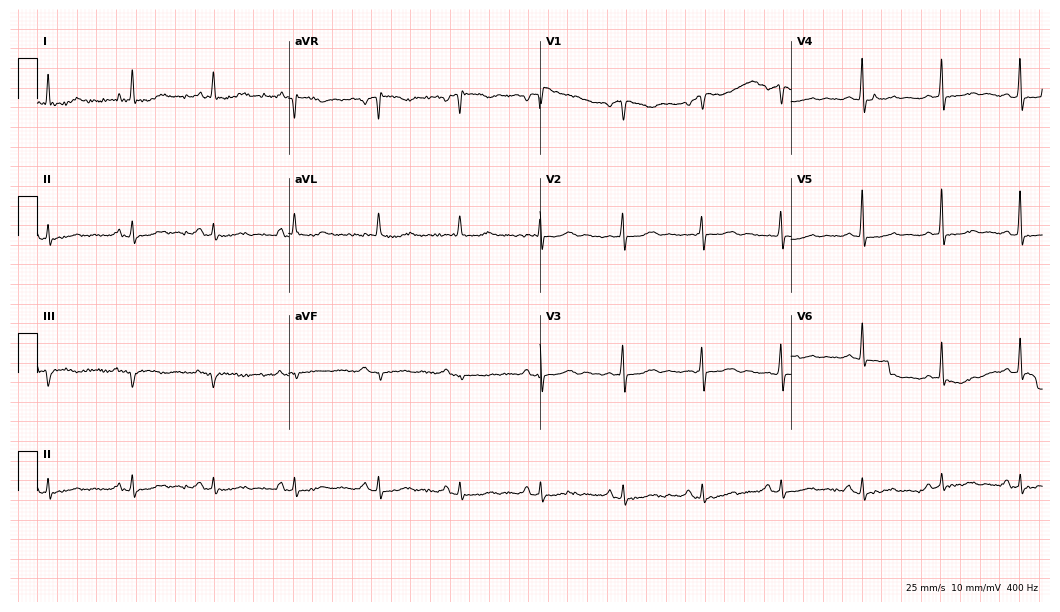
Electrocardiogram, a 77-year-old woman. Of the six screened findings (first-degree AV block, right bundle branch block (RBBB), left bundle branch block (LBBB), sinus bradycardia, atrial fibrillation (AF), sinus tachycardia), none is recorded.